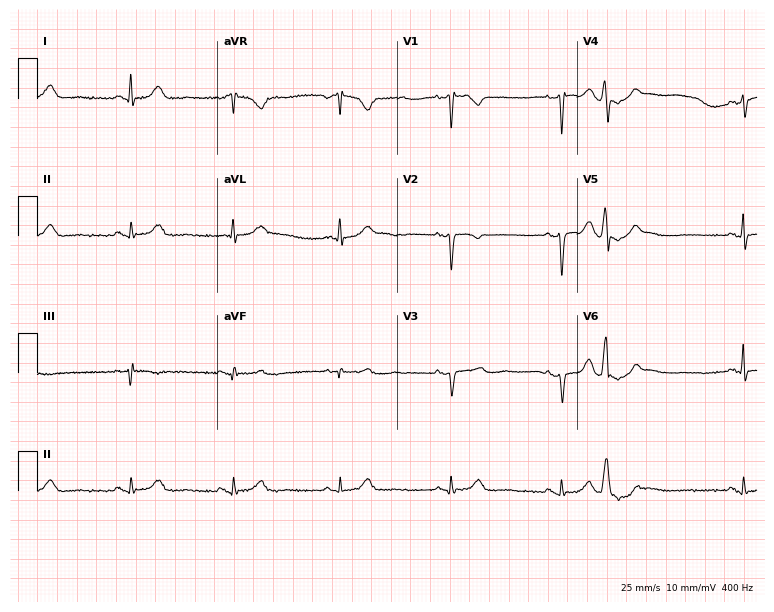
Electrocardiogram, a female, 59 years old. Of the six screened findings (first-degree AV block, right bundle branch block (RBBB), left bundle branch block (LBBB), sinus bradycardia, atrial fibrillation (AF), sinus tachycardia), none is recorded.